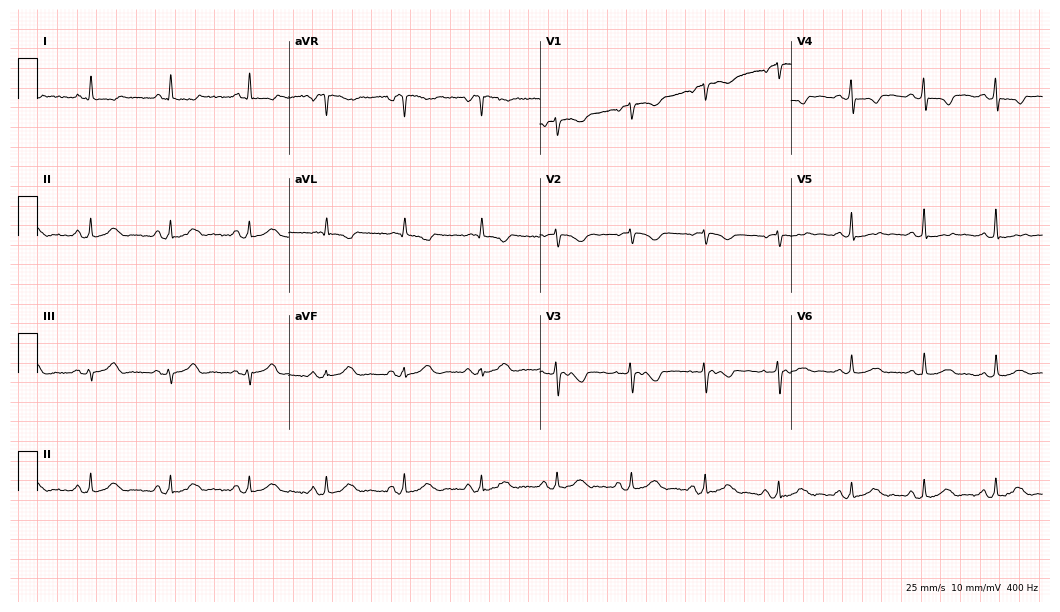
12-lead ECG from a female, 51 years old (10.2-second recording at 400 Hz). Recorded interpretation: within normal limits.